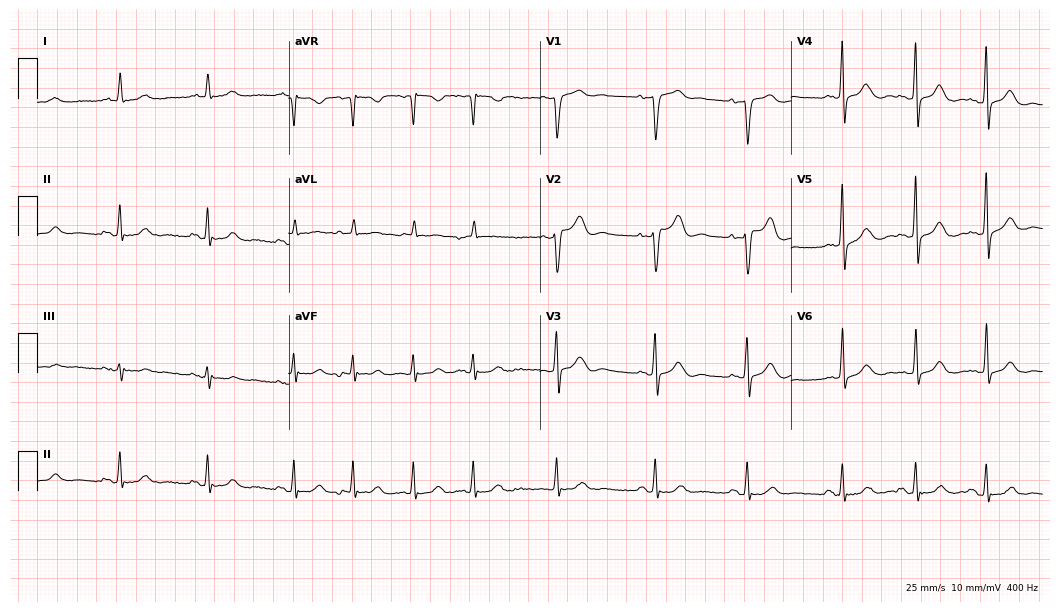
12-lead ECG (10.2-second recording at 400 Hz) from a woman, 82 years old. Screened for six findings — first-degree AV block, right bundle branch block, left bundle branch block, sinus bradycardia, atrial fibrillation, sinus tachycardia — none is recorded.